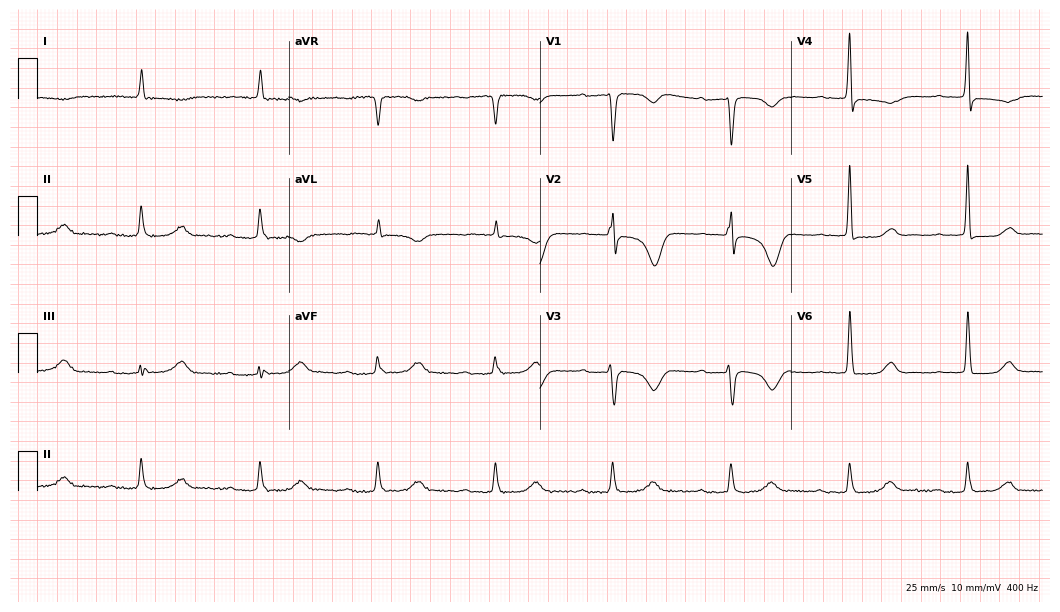
ECG — a female patient, 85 years old. Findings include first-degree AV block, sinus bradycardia (a sinus rate of 50 beats per minute or less).